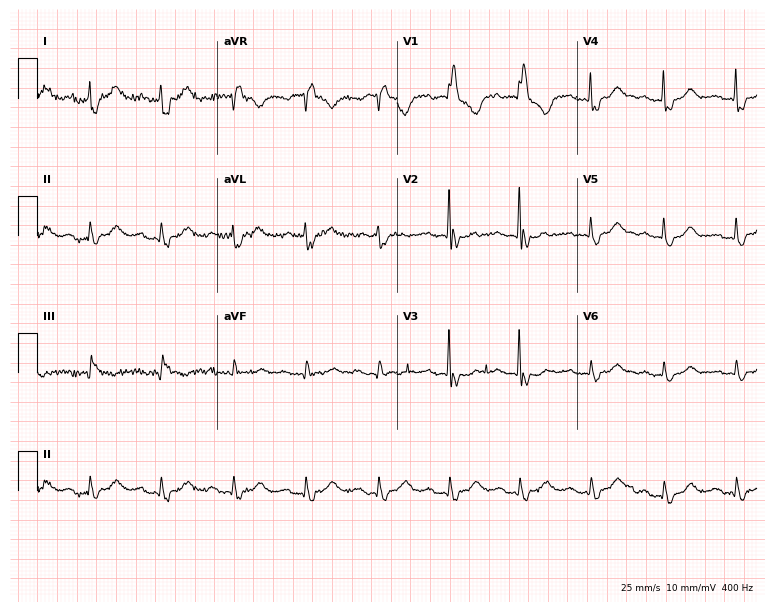
Standard 12-lead ECG recorded from a female, 77 years old. The tracing shows first-degree AV block, right bundle branch block (RBBB).